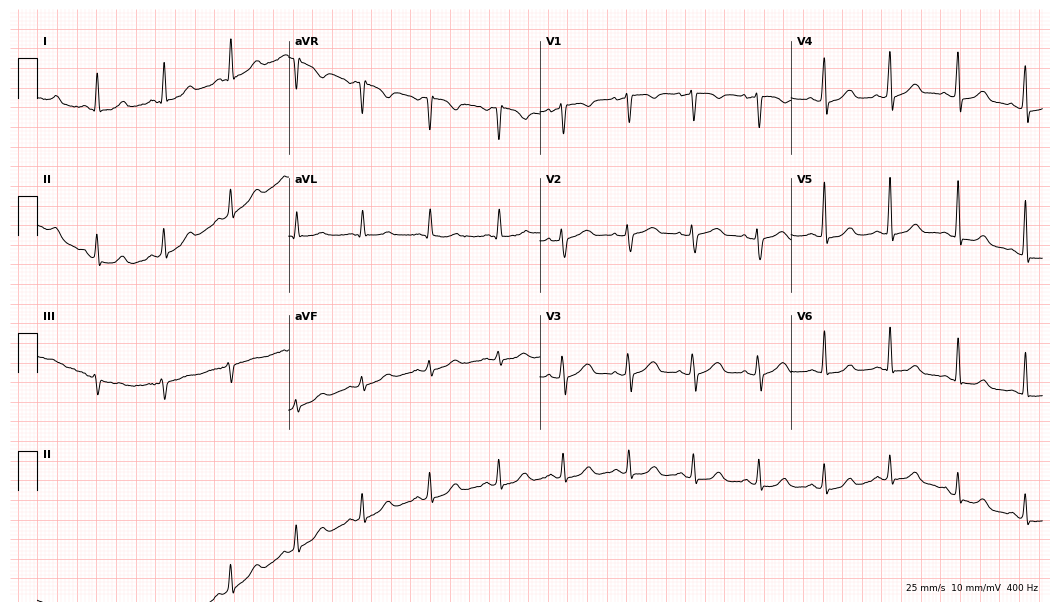
12-lead ECG from a 28-year-old woman (10.2-second recording at 400 Hz). Recorded interpretation: within normal limits.